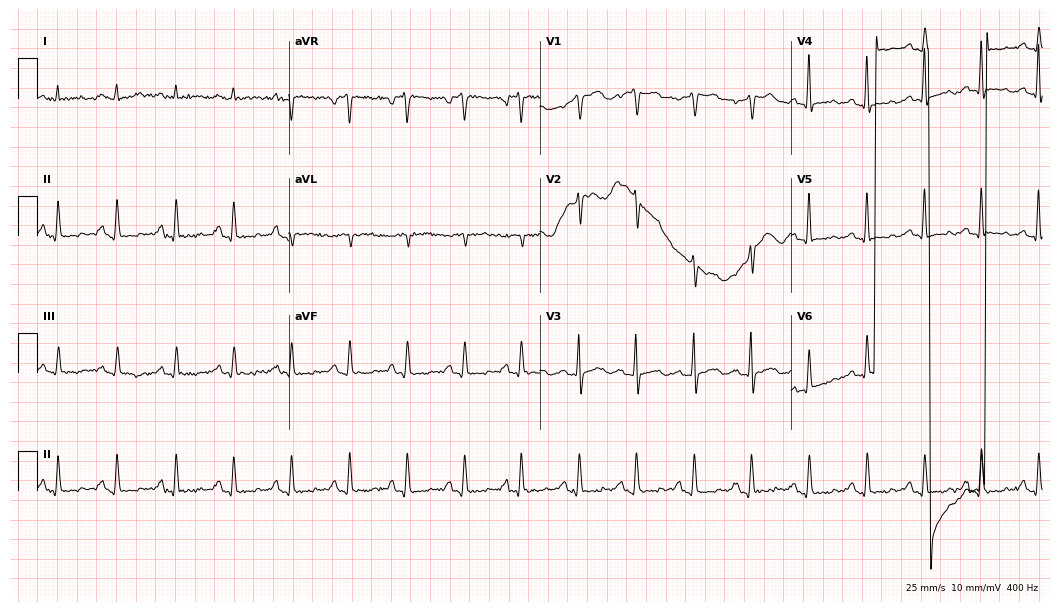
Standard 12-lead ECG recorded from a male patient, 58 years old. The tracing shows sinus tachycardia (a sinus rate of 100 beats per minute or more).